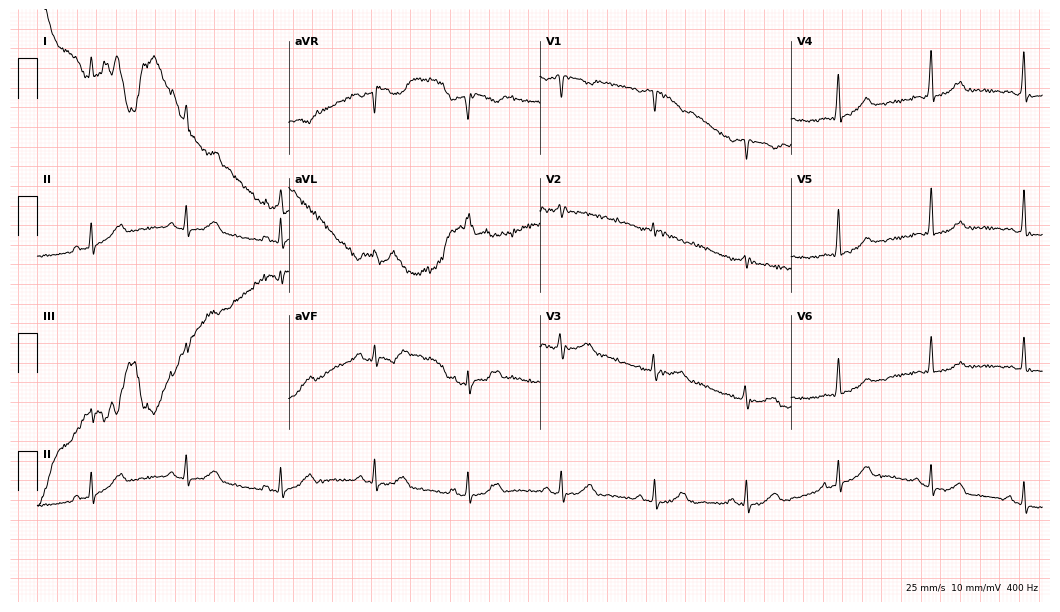
Electrocardiogram (10.2-second recording at 400 Hz), a woman, 61 years old. Overall reading on record: normal ECG.